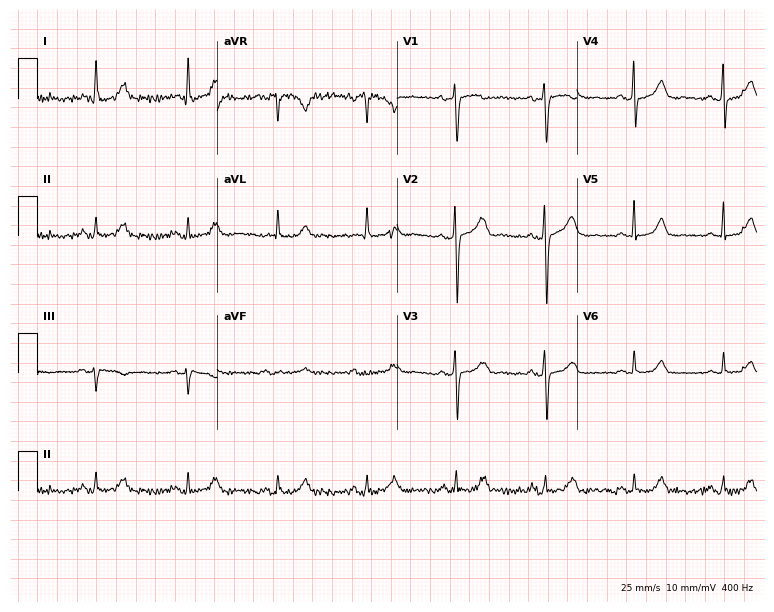
Resting 12-lead electrocardiogram. Patient: a 65-year-old female. None of these six findings is recorded: first-degree AV block, right bundle branch block, left bundle branch block, sinus bradycardia, atrial fibrillation, sinus tachycardia. Only these six findings were labelled.